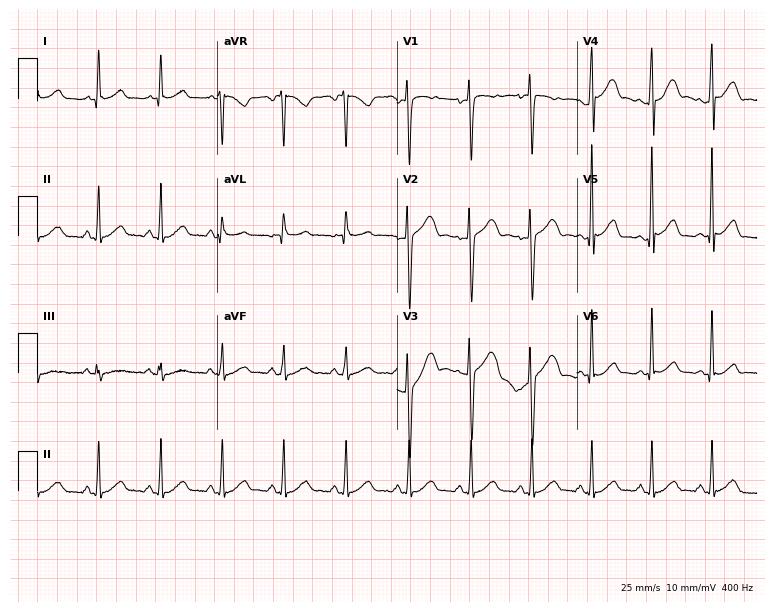
12-lead ECG (7.3-second recording at 400 Hz) from a 27-year-old female patient. Labelled as a normal ECG.